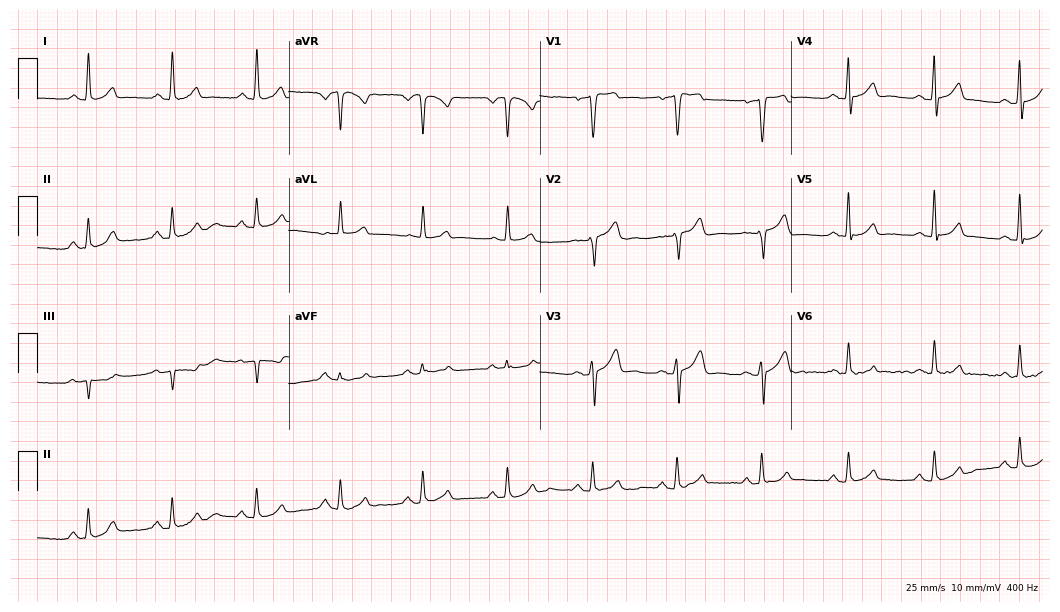
12-lead ECG (10.2-second recording at 400 Hz) from a female, 57 years old. Labelled as a normal ECG.